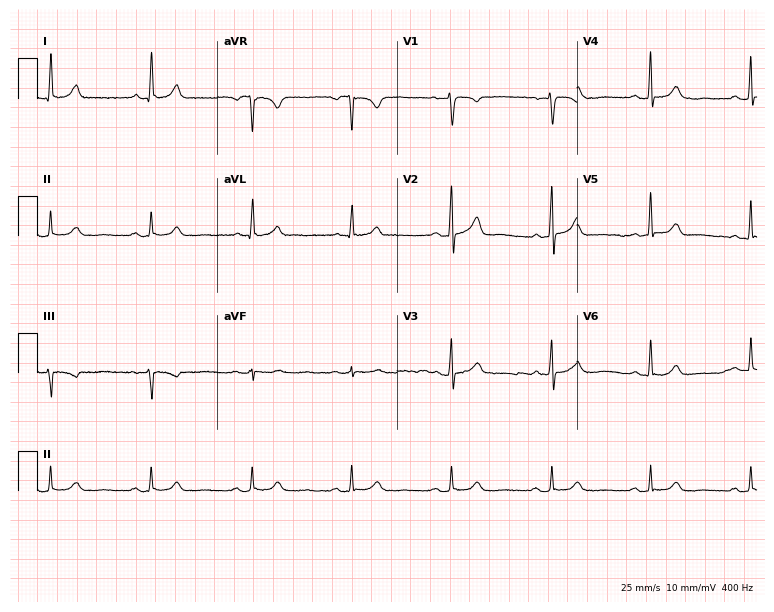
12-lead ECG from a woman, 73 years old. Recorded interpretation: within normal limits.